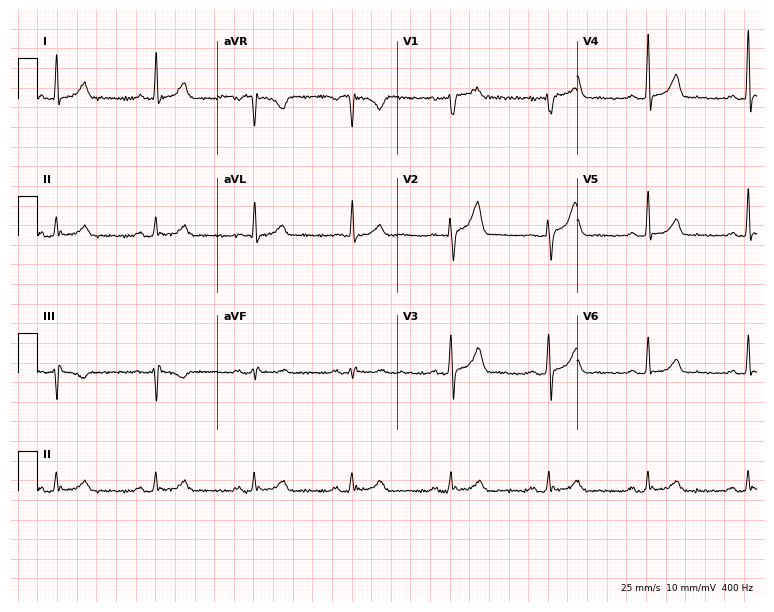
Standard 12-lead ECG recorded from a male, 59 years old (7.3-second recording at 400 Hz). None of these six findings is recorded: first-degree AV block, right bundle branch block, left bundle branch block, sinus bradycardia, atrial fibrillation, sinus tachycardia.